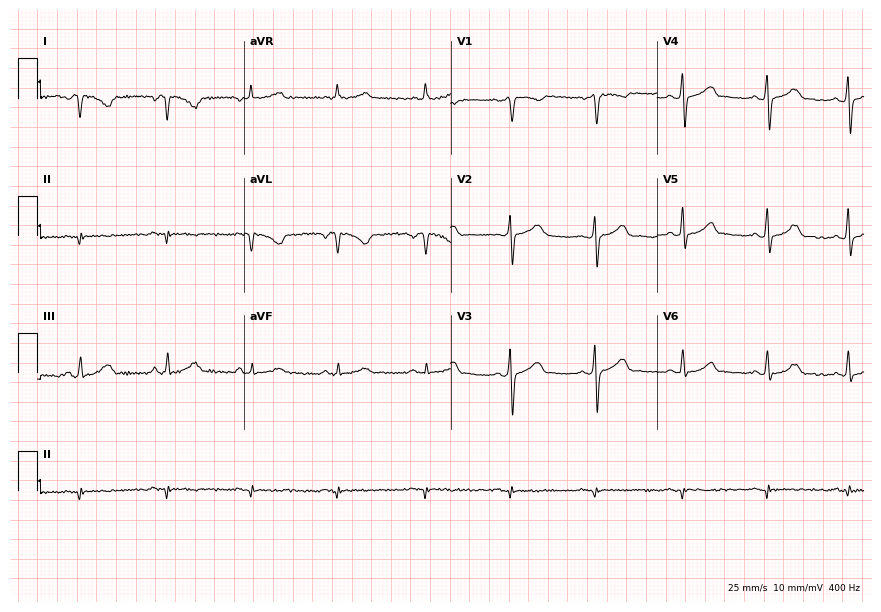
12-lead ECG (8.4-second recording at 400 Hz) from a woman, 36 years old. Screened for six findings — first-degree AV block, right bundle branch block (RBBB), left bundle branch block (LBBB), sinus bradycardia, atrial fibrillation (AF), sinus tachycardia — none is recorded.